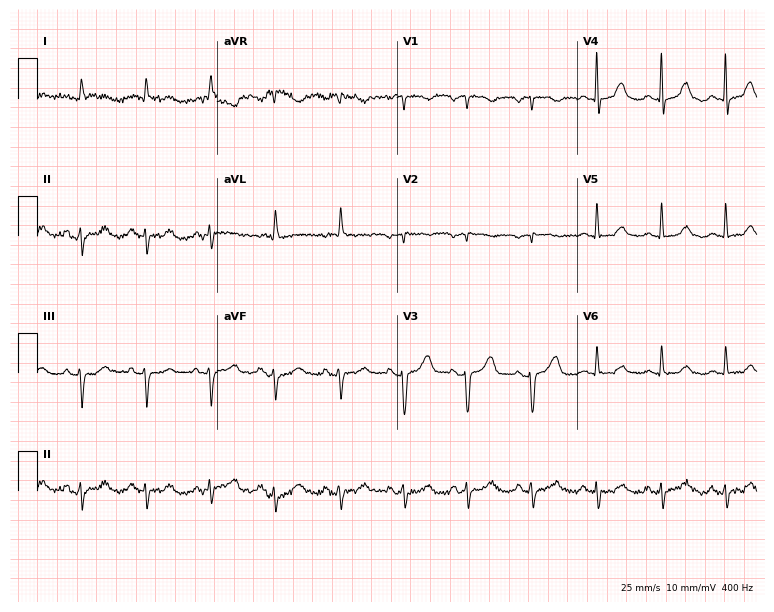
Electrocardiogram, an 82-year-old woman. Of the six screened findings (first-degree AV block, right bundle branch block (RBBB), left bundle branch block (LBBB), sinus bradycardia, atrial fibrillation (AF), sinus tachycardia), none is recorded. Other findings, if any, are not listed.